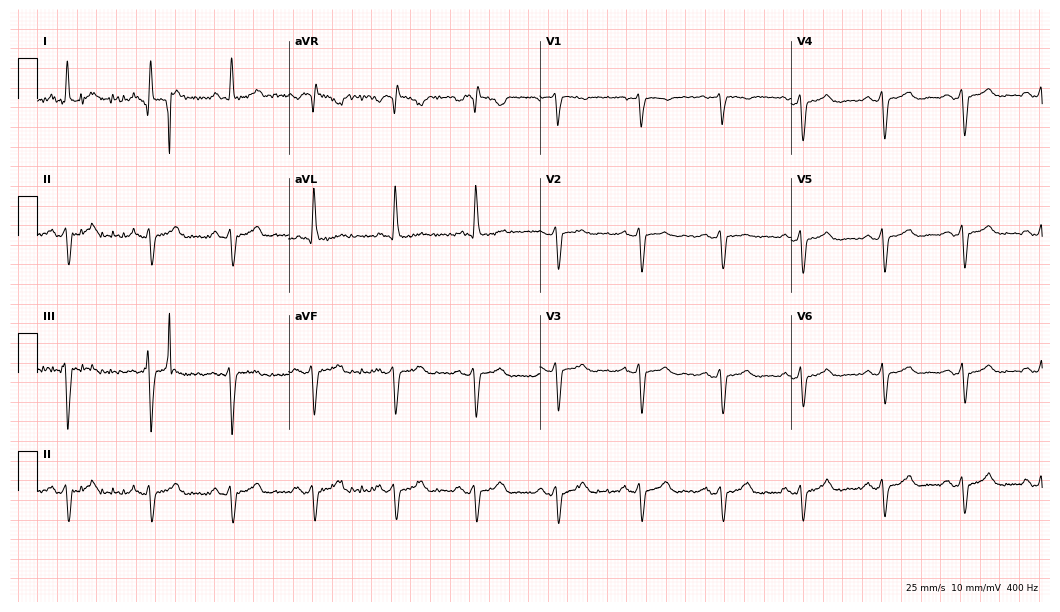
Resting 12-lead electrocardiogram. Patient: a female, 58 years old. None of these six findings is recorded: first-degree AV block, right bundle branch block, left bundle branch block, sinus bradycardia, atrial fibrillation, sinus tachycardia.